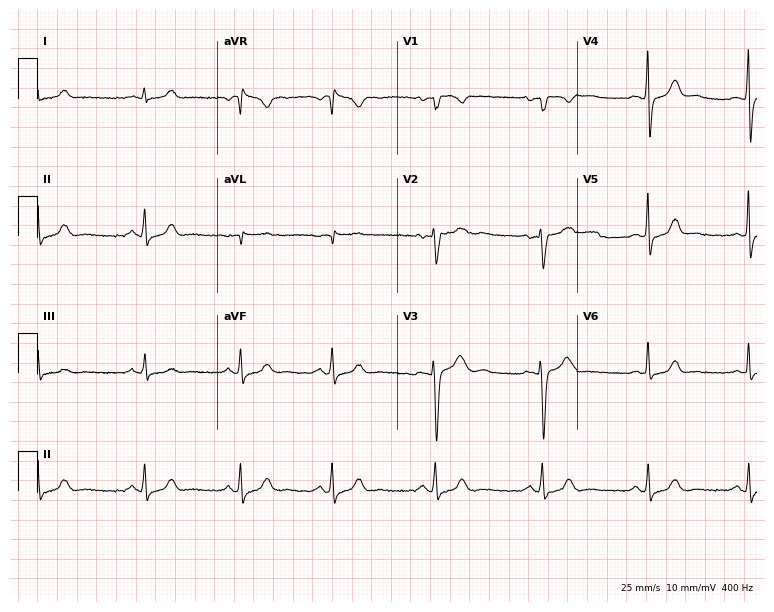
ECG — a female patient, 24 years old. Labelled as a normal ECG.